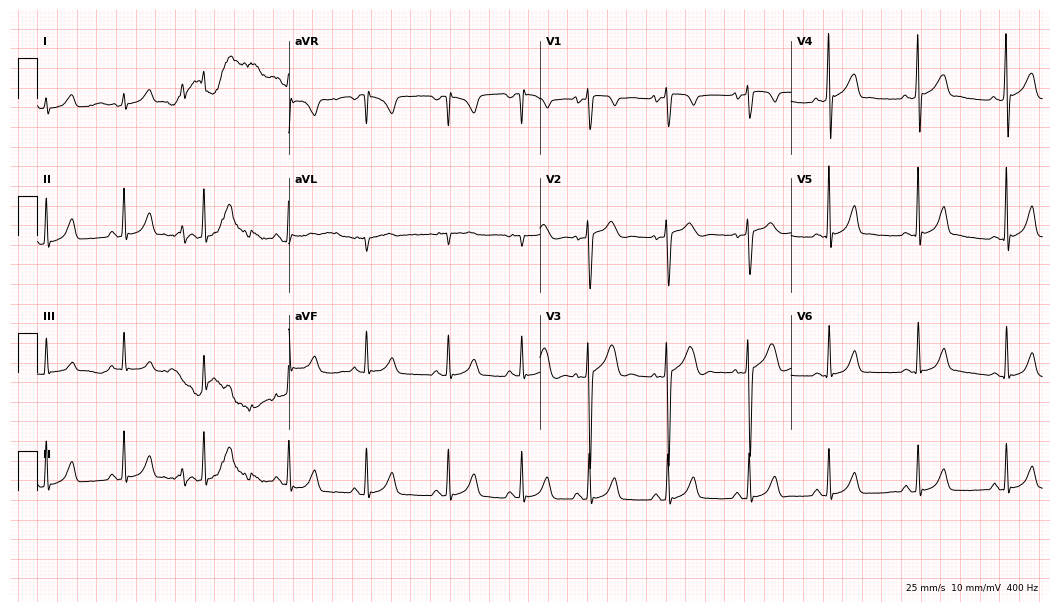
12-lead ECG from a 22-year-old man. Screened for six findings — first-degree AV block, right bundle branch block, left bundle branch block, sinus bradycardia, atrial fibrillation, sinus tachycardia — none is recorded. Only these six findings were labelled.